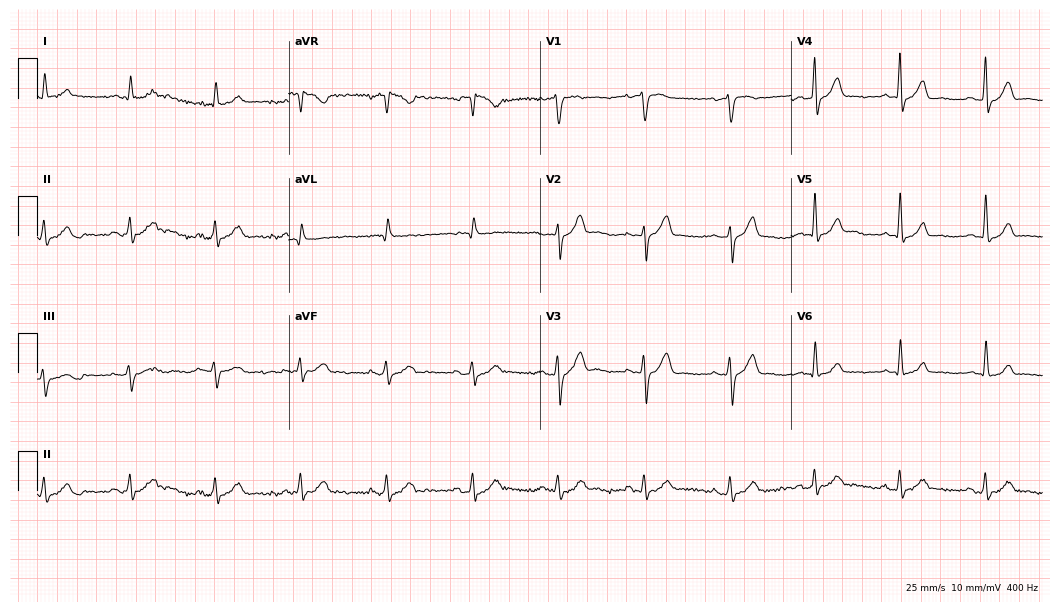
12-lead ECG (10.2-second recording at 400 Hz) from a male patient, 72 years old. Labelled as a normal ECG.